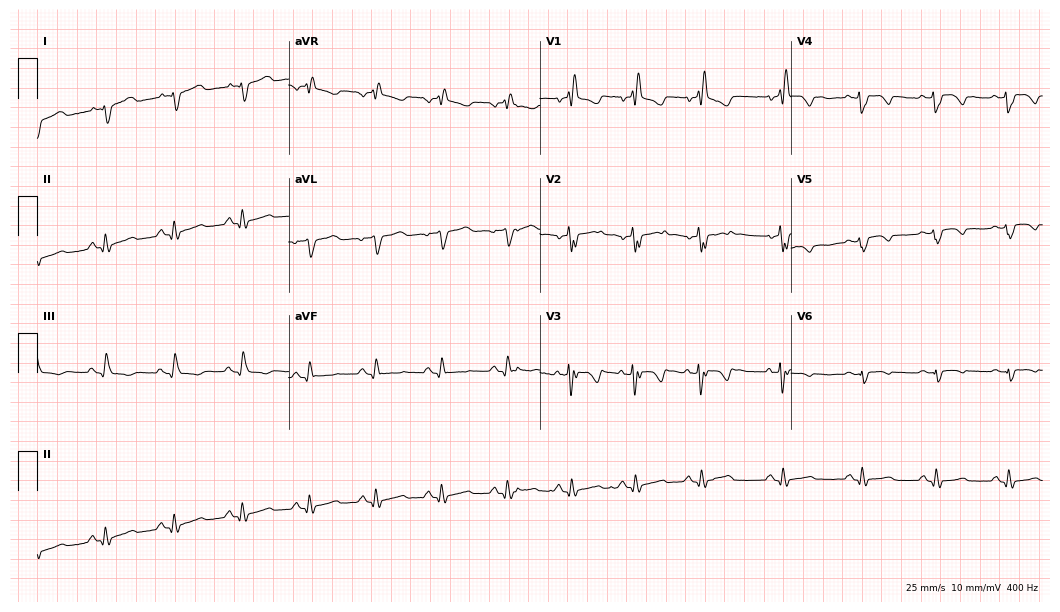
Electrocardiogram, a male, 42 years old. Interpretation includes right bundle branch block.